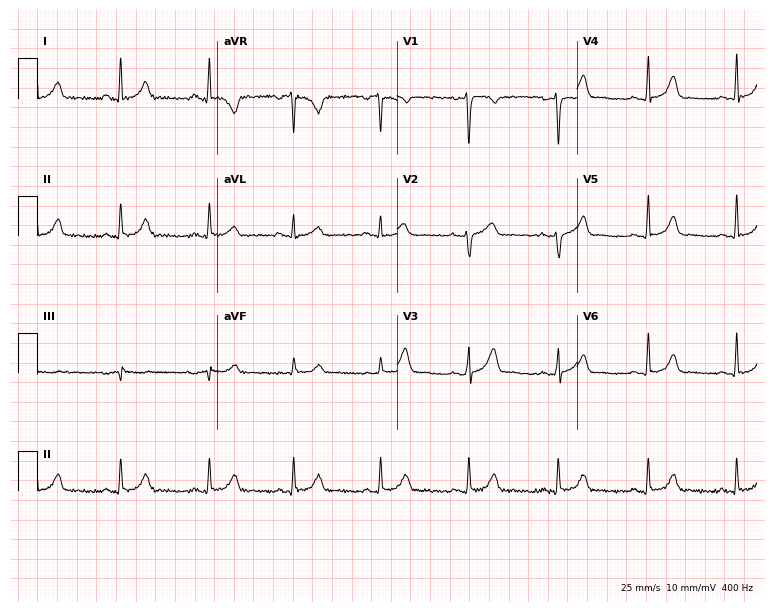
Resting 12-lead electrocardiogram (7.3-second recording at 400 Hz). Patient: a woman, 44 years old. Read as a normal ECG.